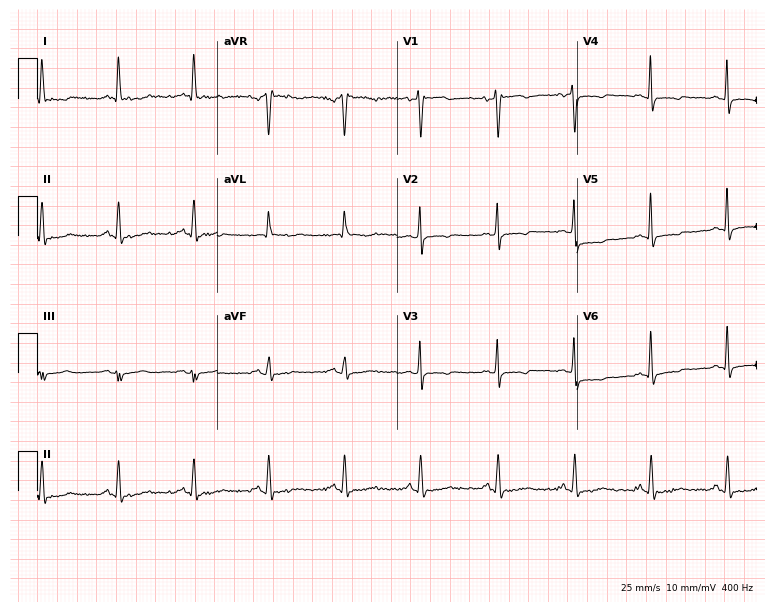
Electrocardiogram (7.3-second recording at 400 Hz), a female, 56 years old. Of the six screened findings (first-degree AV block, right bundle branch block, left bundle branch block, sinus bradycardia, atrial fibrillation, sinus tachycardia), none is recorded. Only these six findings were labelled.